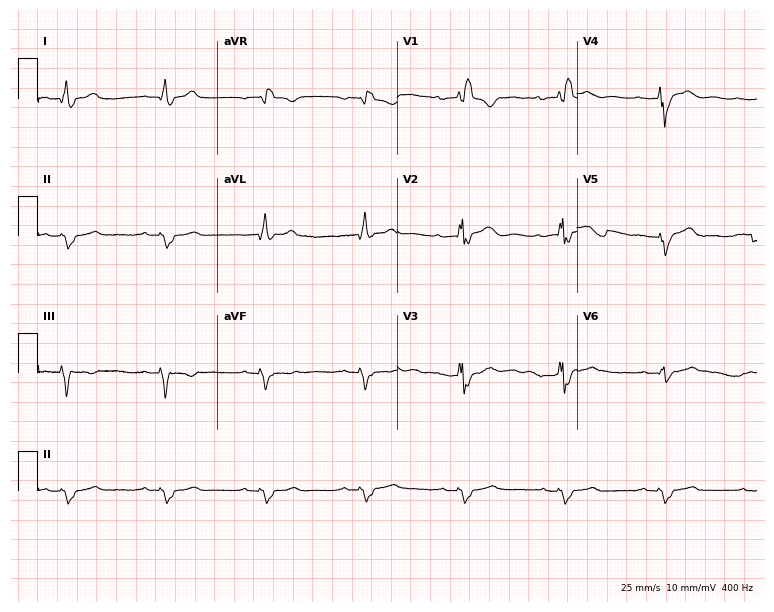
12-lead ECG from a male patient, 36 years old (7.3-second recording at 400 Hz). Shows first-degree AV block, right bundle branch block.